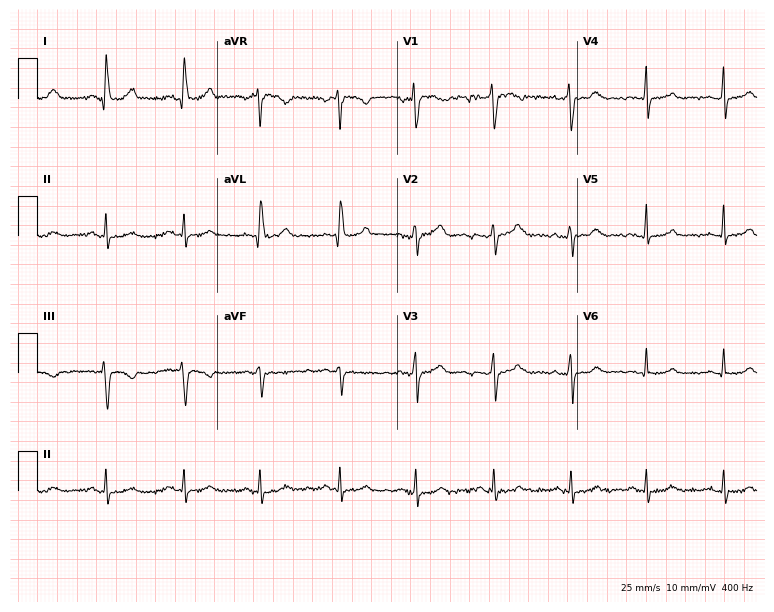
Resting 12-lead electrocardiogram. Patient: a female, 47 years old. Read as a normal ECG.